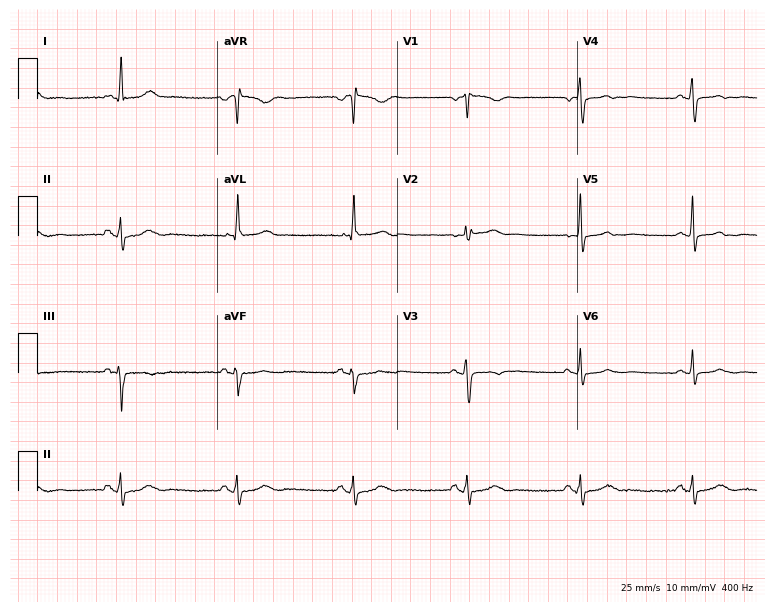
12-lead ECG from a 59-year-old woman. No first-degree AV block, right bundle branch block, left bundle branch block, sinus bradycardia, atrial fibrillation or sinus tachycardia recorded for this tracing. Other findings, if any, are not listed.